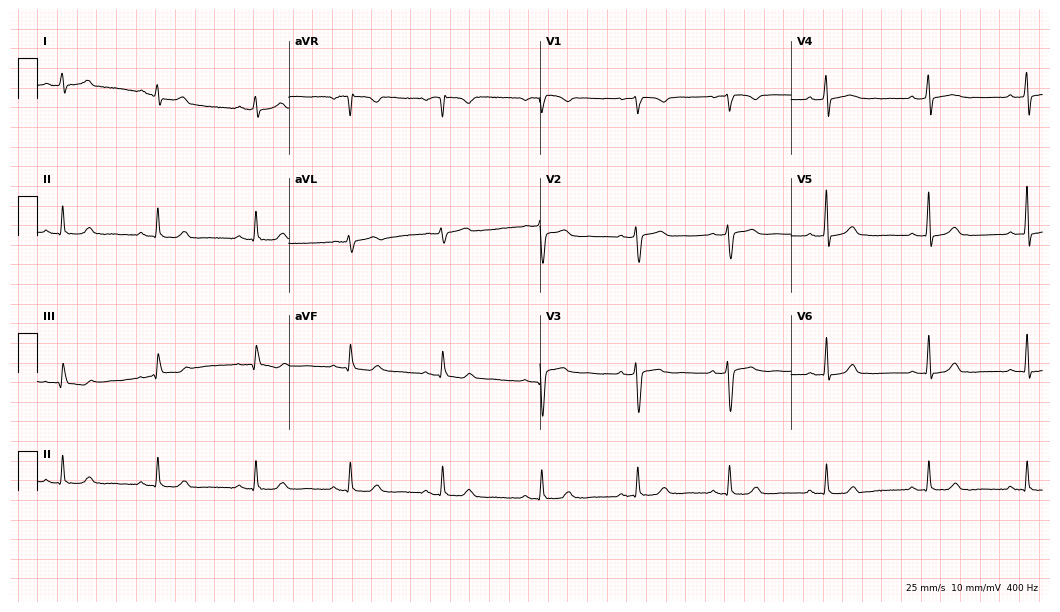
12-lead ECG from a 43-year-old female patient (10.2-second recording at 400 Hz). Recorded interpretation: within normal limits.